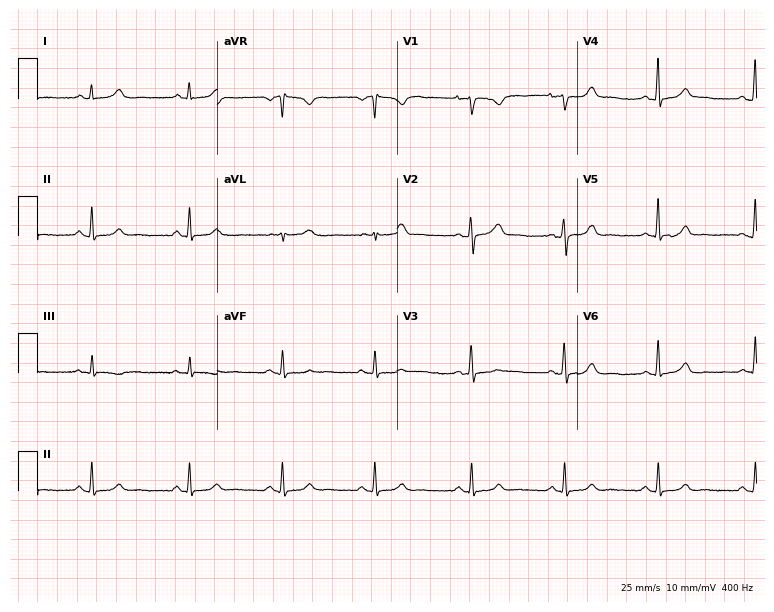
Standard 12-lead ECG recorded from a 33-year-old woman. Read as a normal ECG.